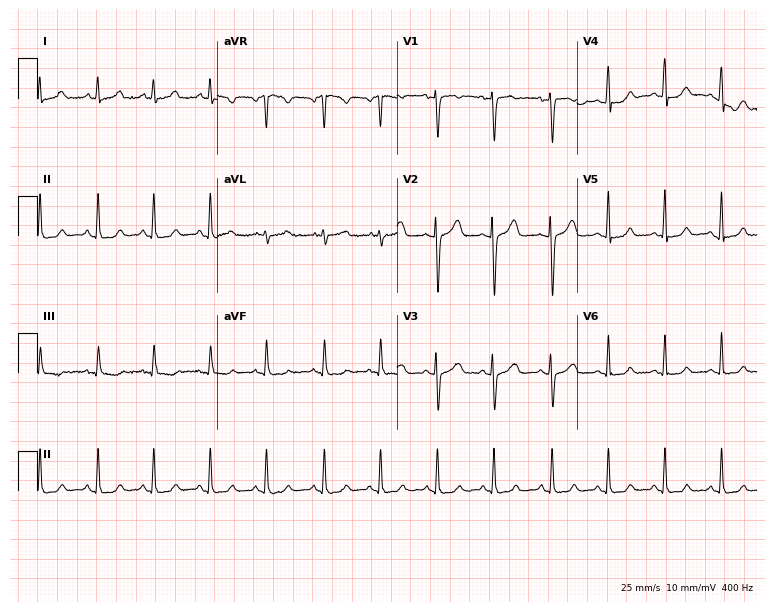
Electrocardiogram (7.3-second recording at 400 Hz), a 31-year-old female. Interpretation includes sinus tachycardia (a sinus rate of 100 beats per minute or more).